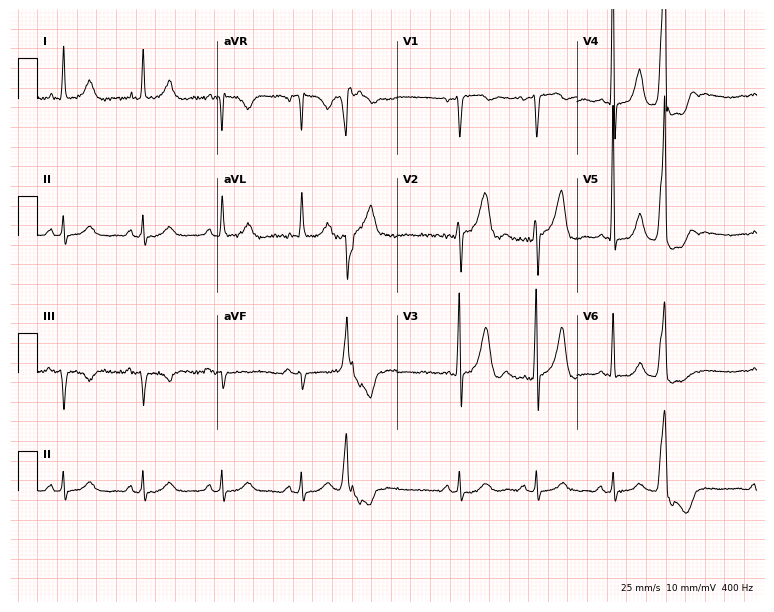
12-lead ECG from a 73-year-old male. No first-degree AV block, right bundle branch block (RBBB), left bundle branch block (LBBB), sinus bradycardia, atrial fibrillation (AF) or sinus tachycardia recorded for this tracing.